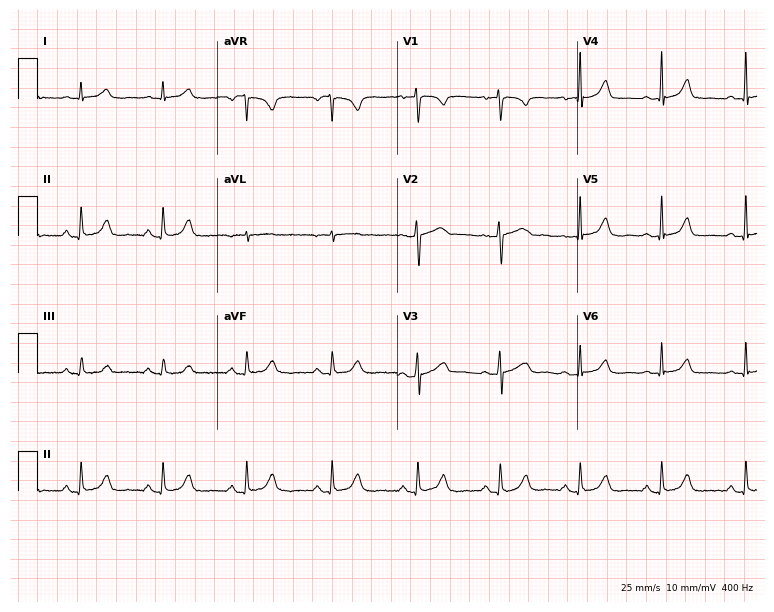
12-lead ECG from a female patient, 38 years old. Recorded interpretation: within normal limits.